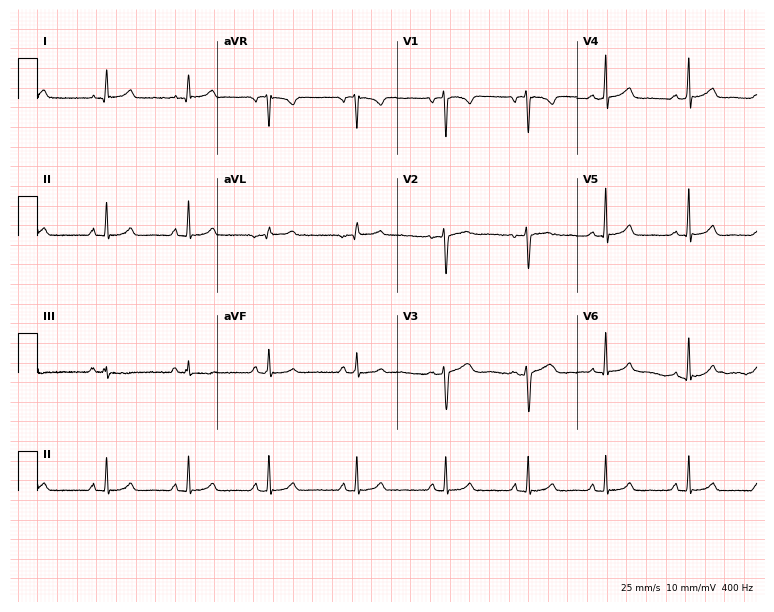
Electrocardiogram, a female patient, 29 years old. Overall reading on record: normal ECG.